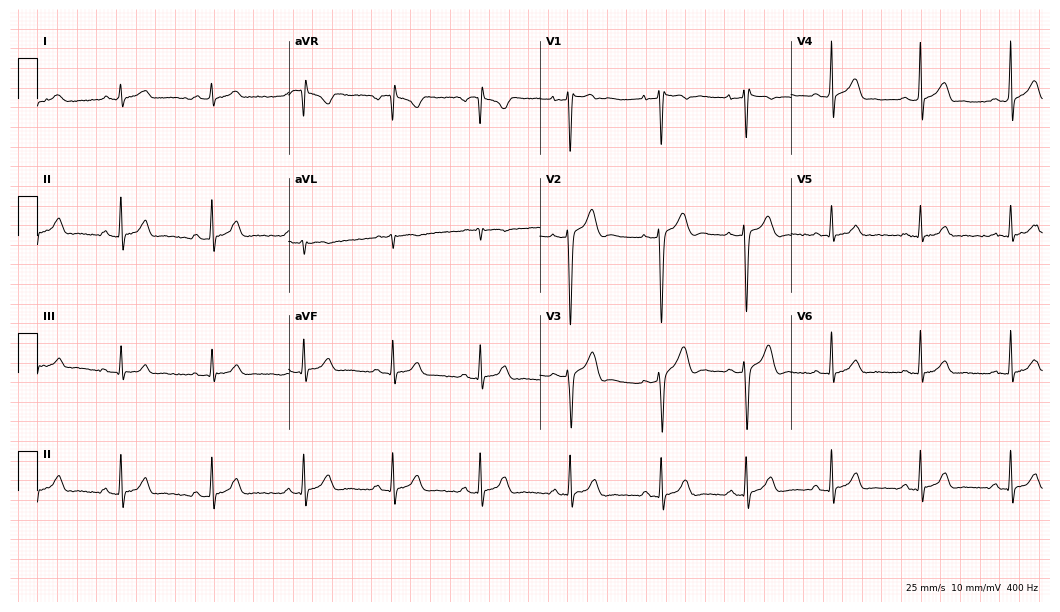
Resting 12-lead electrocardiogram (10.2-second recording at 400 Hz). Patient: a male, 23 years old. None of these six findings is recorded: first-degree AV block, right bundle branch block, left bundle branch block, sinus bradycardia, atrial fibrillation, sinus tachycardia. Findings outside these six are not listed.